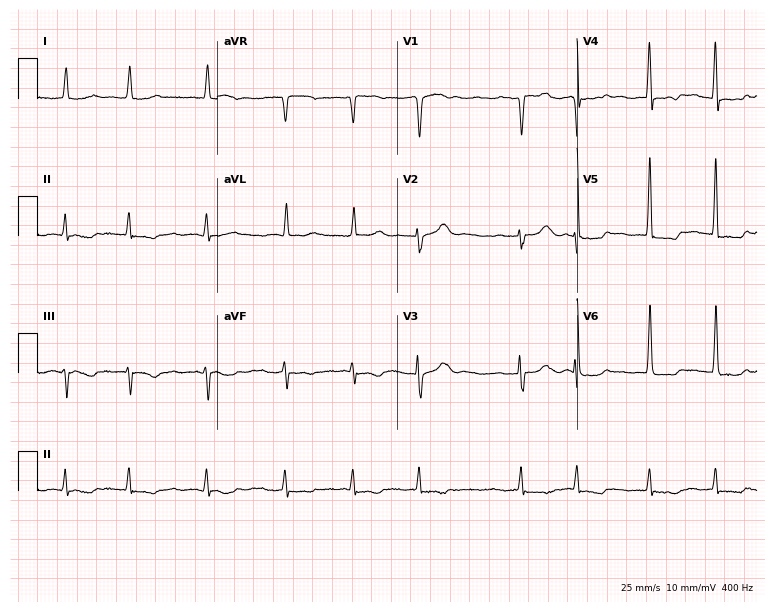
Resting 12-lead electrocardiogram (7.3-second recording at 400 Hz). Patient: an 88-year-old female. None of these six findings is recorded: first-degree AV block, right bundle branch block, left bundle branch block, sinus bradycardia, atrial fibrillation, sinus tachycardia.